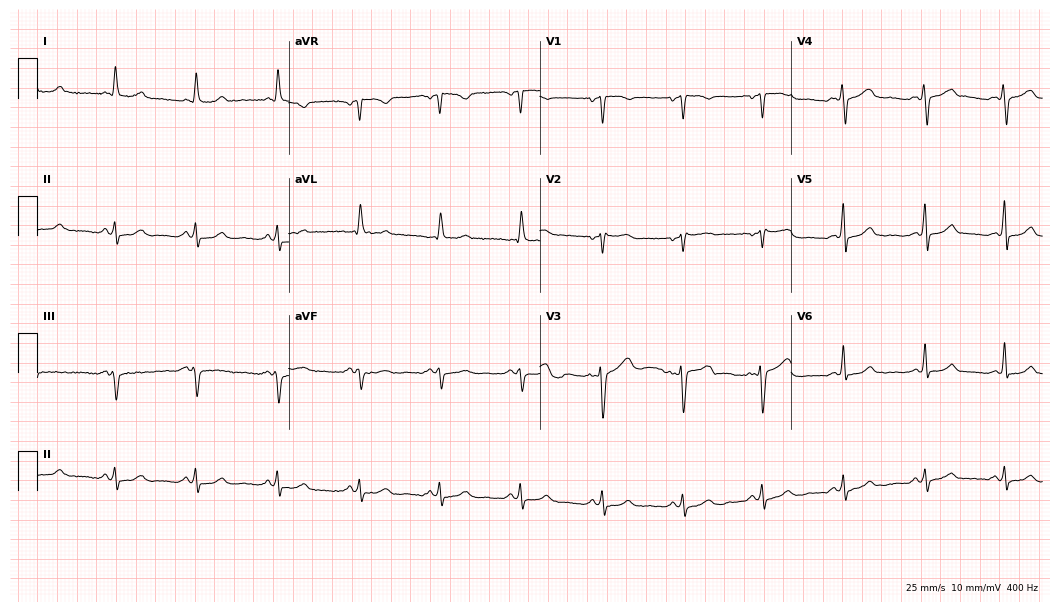
Resting 12-lead electrocardiogram. Patient: a woman, 43 years old. Read as a normal ECG.